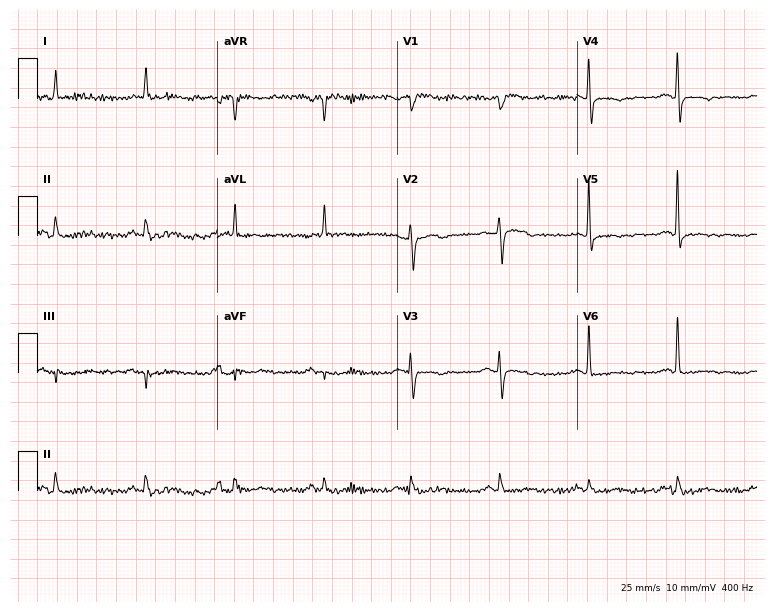
12-lead ECG from an 81-year-old female patient. No first-degree AV block, right bundle branch block, left bundle branch block, sinus bradycardia, atrial fibrillation or sinus tachycardia recorded for this tracing. Only these six findings were labelled.